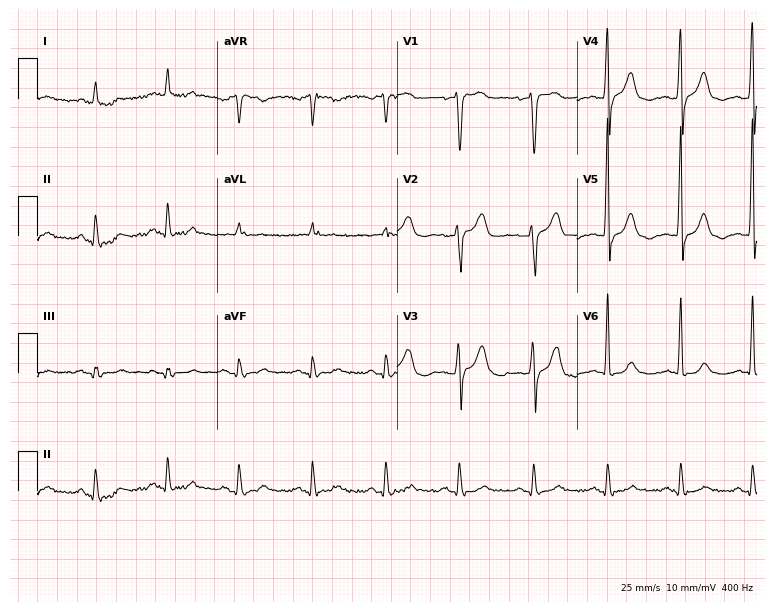
Standard 12-lead ECG recorded from a male patient, 79 years old. None of these six findings is recorded: first-degree AV block, right bundle branch block (RBBB), left bundle branch block (LBBB), sinus bradycardia, atrial fibrillation (AF), sinus tachycardia.